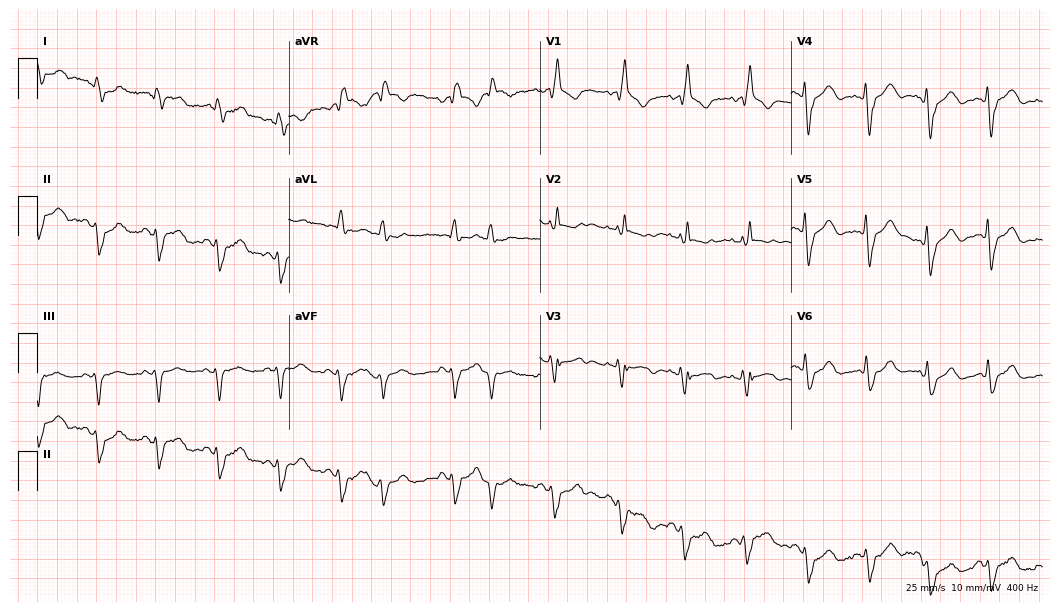
ECG (10.2-second recording at 400 Hz) — a 73-year-old man. Findings include right bundle branch block.